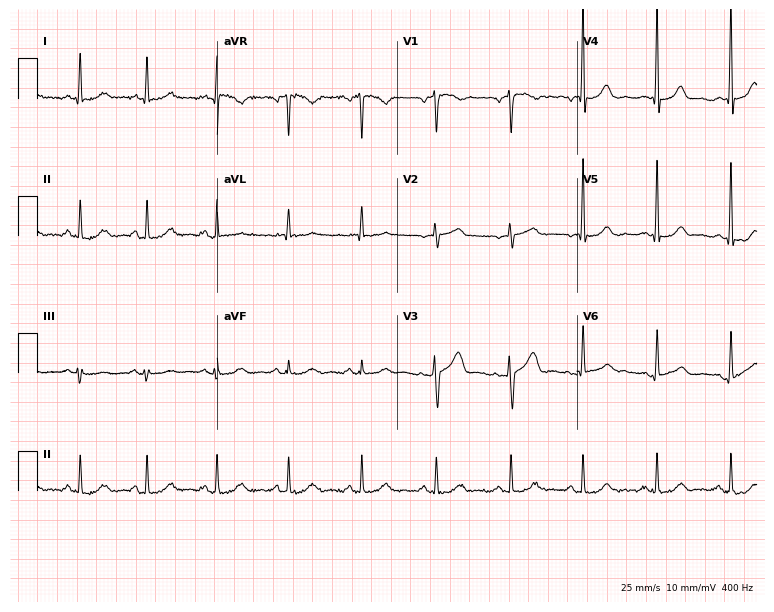
Resting 12-lead electrocardiogram (7.3-second recording at 400 Hz). Patient: a 45-year-old woman. None of these six findings is recorded: first-degree AV block, right bundle branch block, left bundle branch block, sinus bradycardia, atrial fibrillation, sinus tachycardia. Other findings, if any, are not listed.